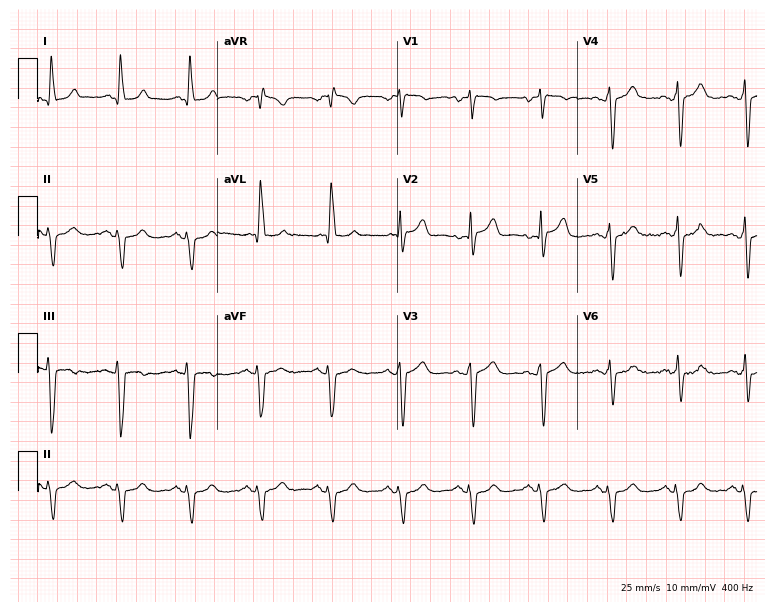
ECG (7.3-second recording at 400 Hz) — a male, 68 years old. Screened for six findings — first-degree AV block, right bundle branch block (RBBB), left bundle branch block (LBBB), sinus bradycardia, atrial fibrillation (AF), sinus tachycardia — none is recorded. Only these six findings were labelled.